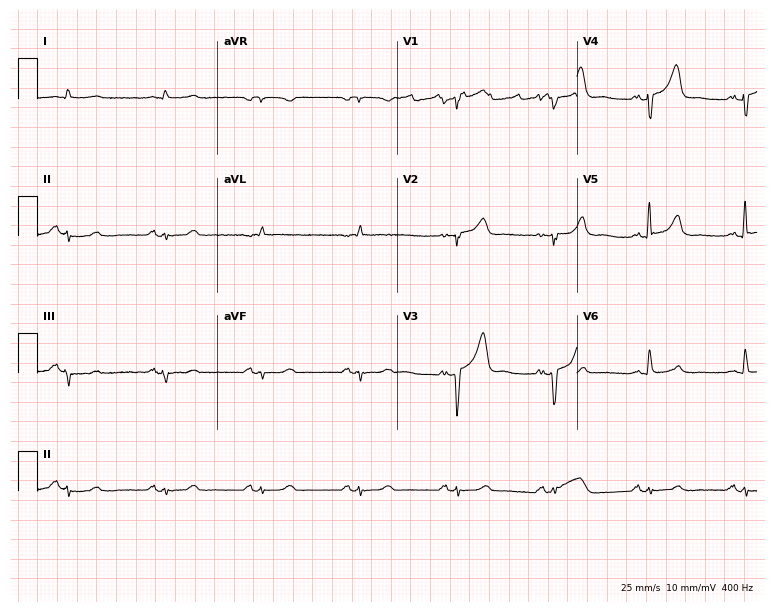
ECG — a 70-year-old male. Screened for six findings — first-degree AV block, right bundle branch block, left bundle branch block, sinus bradycardia, atrial fibrillation, sinus tachycardia — none is recorded. Only these six findings were labelled.